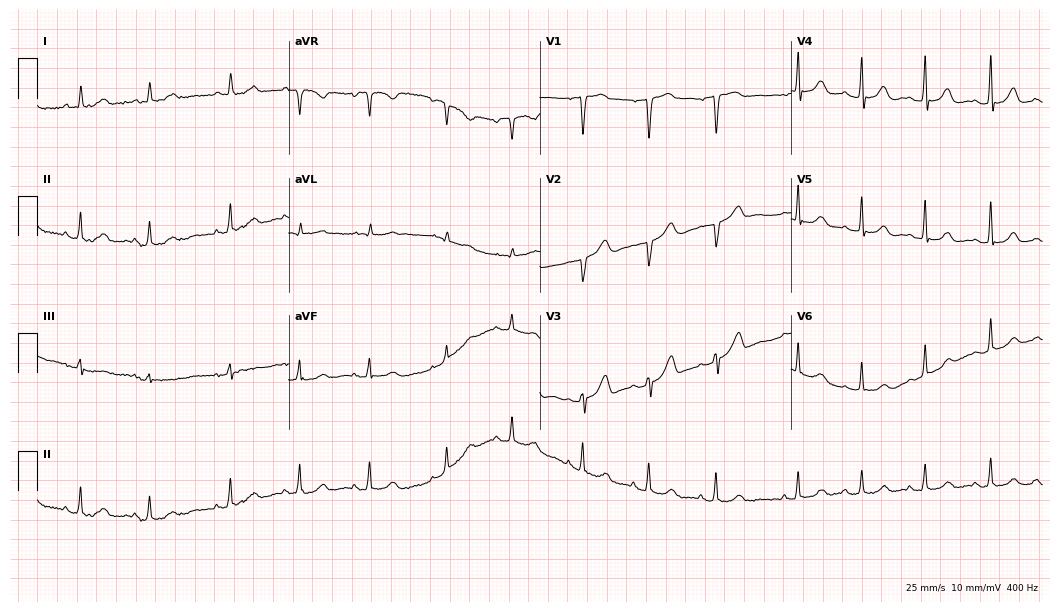
Resting 12-lead electrocardiogram. Patient: a female, 68 years old. None of these six findings is recorded: first-degree AV block, right bundle branch block, left bundle branch block, sinus bradycardia, atrial fibrillation, sinus tachycardia.